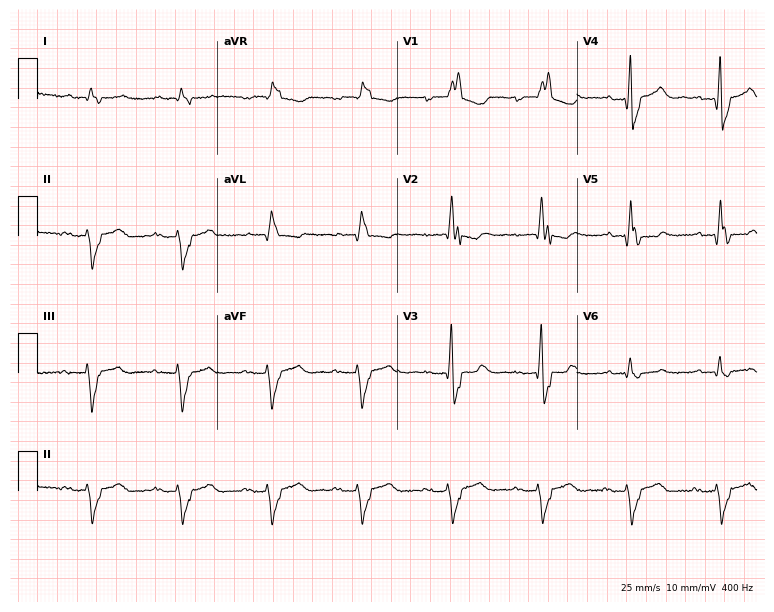
ECG — a man, 72 years old. Findings include first-degree AV block, right bundle branch block.